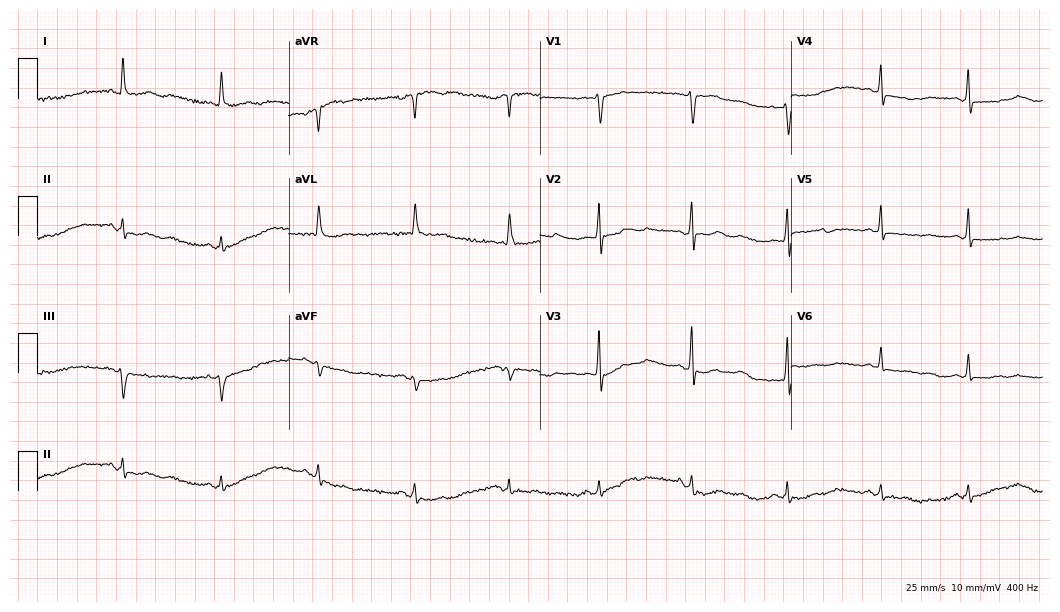
Electrocardiogram, a 57-year-old woman. Of the six screened findings (first-degree AV block, right bundle branch block, left bundle branch block, sinus bradycardia, atrial fibrillation, sinus tachycardia), none is recorded. Only these six findings were labelled.